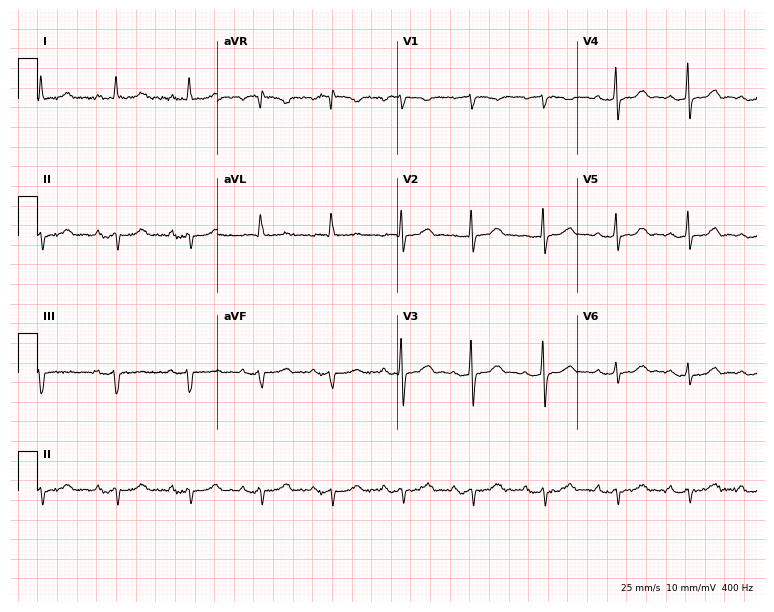
ECG — a woman, 62 years old. Screened for six findings — first-degree AV block, right bundle branch block, left bundle branch block, sinus bradycardia, atrial fibrillation, sinus tachycardia — none is recorded. Other findings, if any, are not listed.